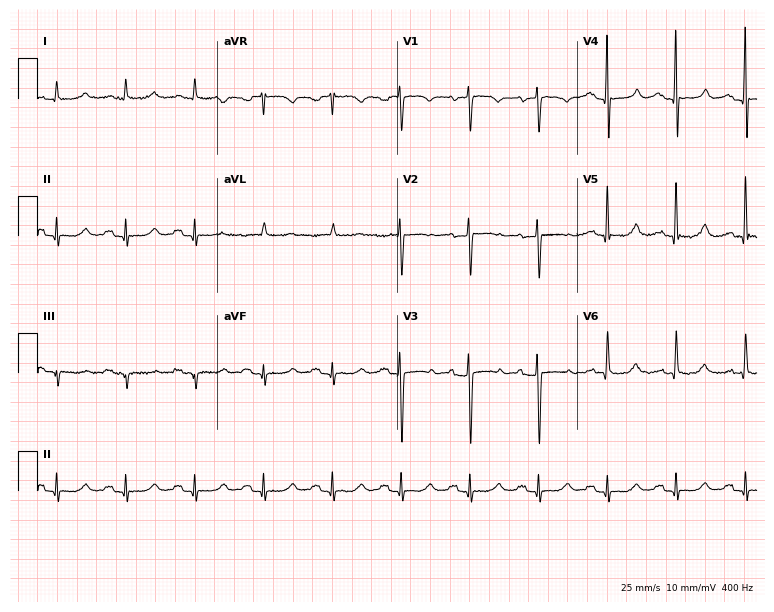
Standard 12-lead ECG recorded from an 87-year-old female. None of these six findings is recorded: first-degree AV block, right bundle branch block, left bundle branch block, sinus bradycardia, atrial fibrillation, sinus tachycardia.